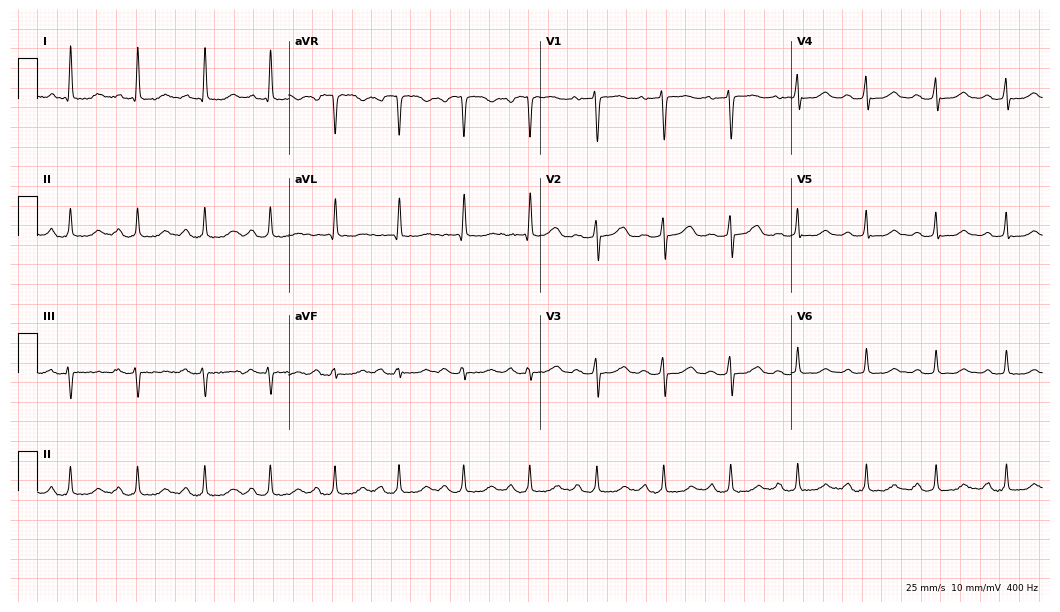
Standard 12-lead ECG recorded from a 57-year-old woman (10.2-second recording at 400 Hz). Read as a normal ECG.